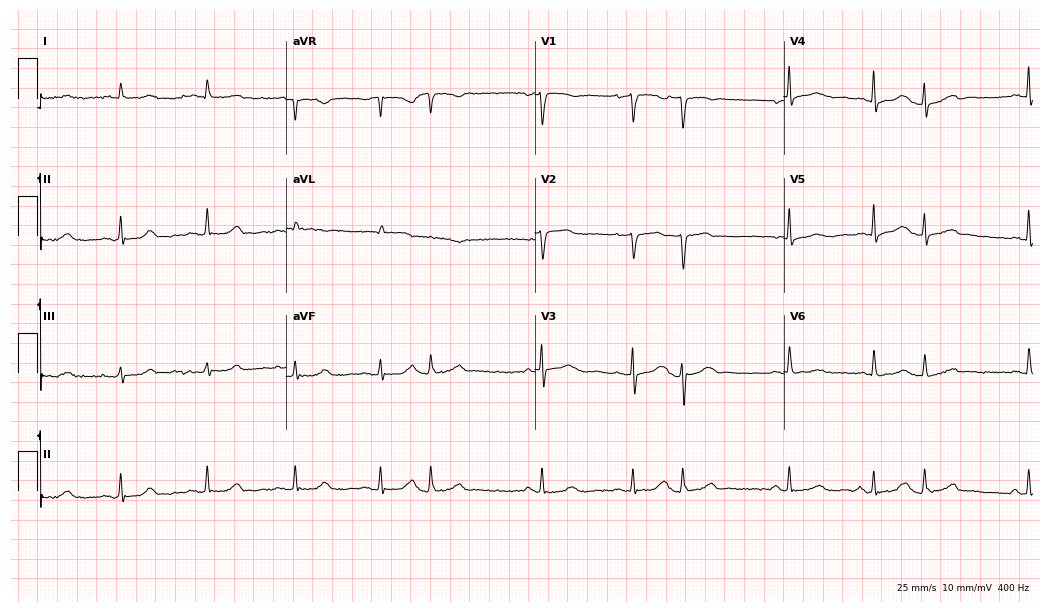
Electrocardiogram (10.1-second recording at 400 Hz), a female, 86 years old. Of the six screened findings (first-degree AV block, right bundle branch block (RBBB), left bundle branch block (LBBB), sinus bradycardia, atrial fibrillation (AF), sinus tachycardia), none is recorded.